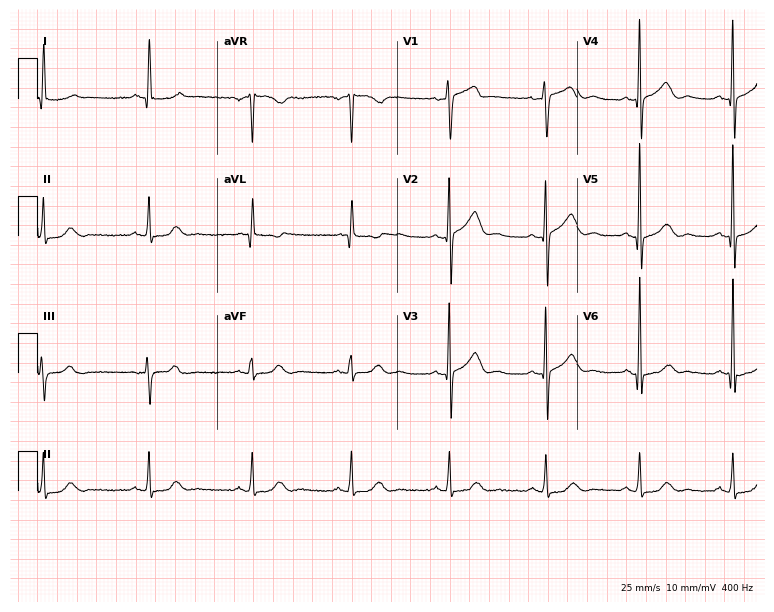
Resting 12-lead electrocardiogram. Patient: a 53-year-old male. Read as a normal ECG.